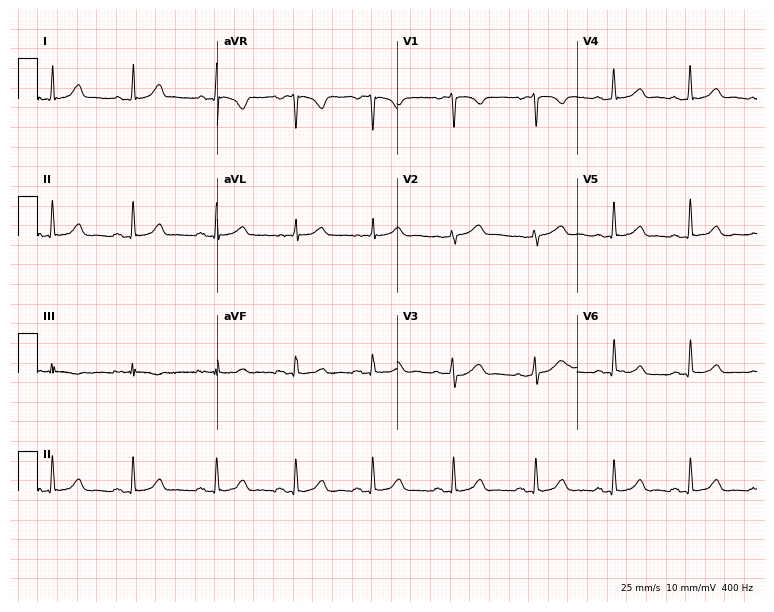
ECG (7.3-second recording at 400 Hz) — a female patient, 38 years old. Labelled as a normal ECG.